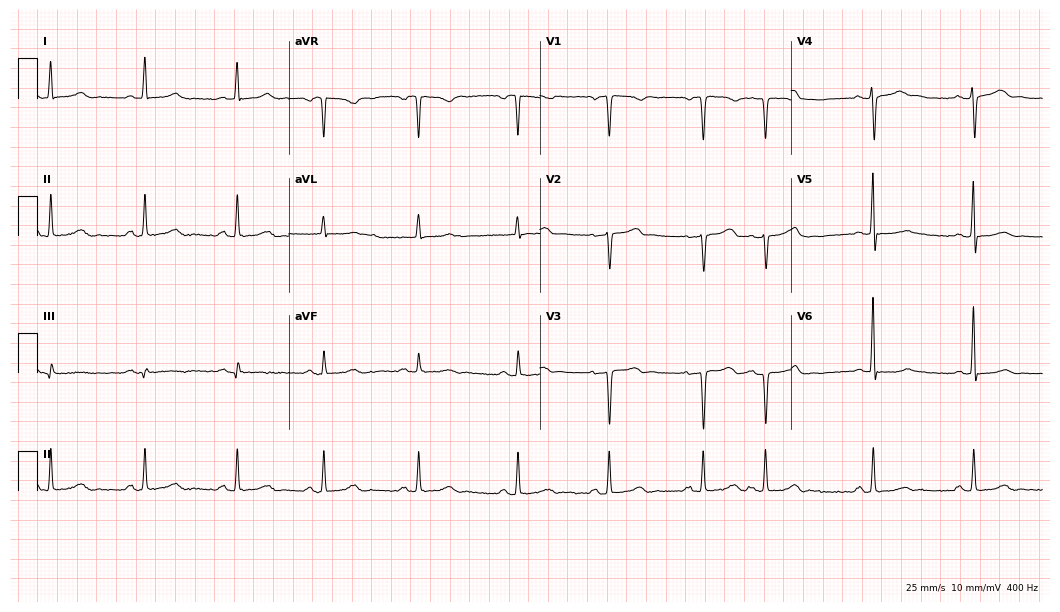
12-lead ECG from a woman, 47 years old. No first-degree AV block, right bundle branch block, left bundle branch block, sinus bradycardia, atrial fibrillation or sinus tachycardia recorded for this tracing. Only these six findings were labelled.